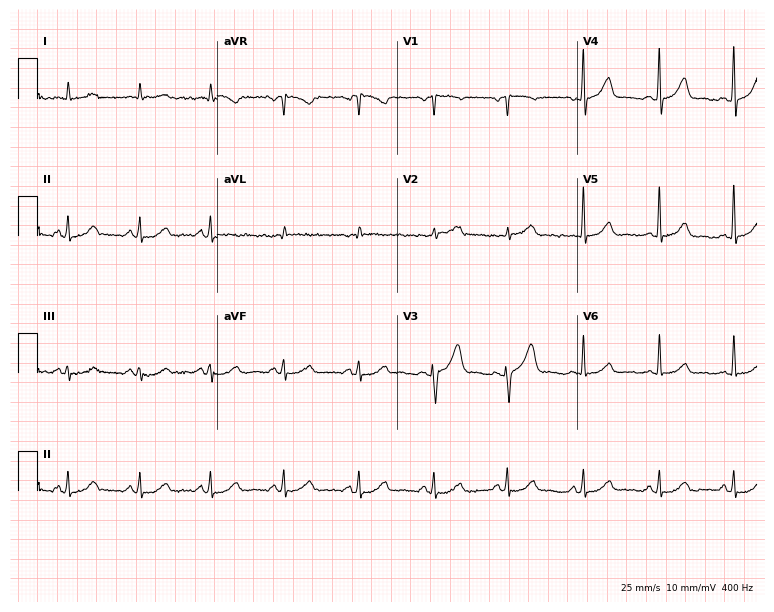
12-lead ECG (7.3-second recording at 400 Hz) from a 69-year-old male patient. Labelled as a normal ECG.